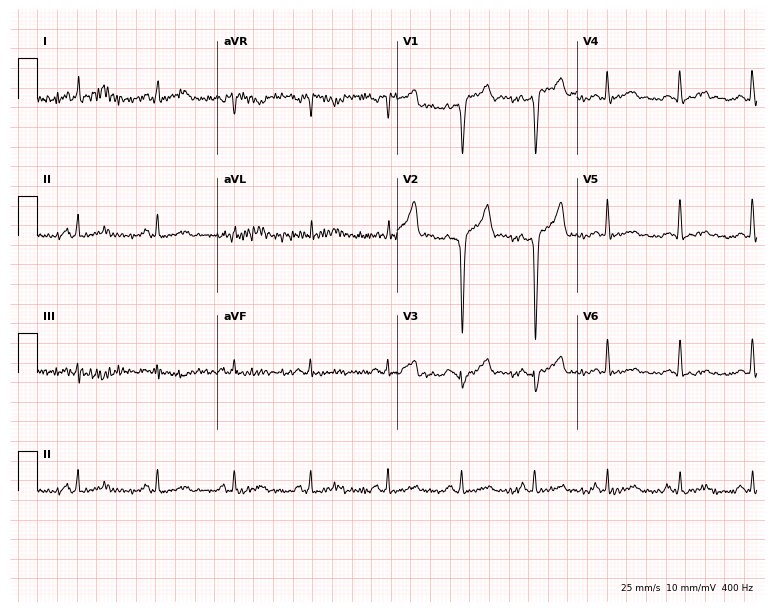
ECG (7.3-second recording at 400 Hz) — a male, 35 years old. Screened for six findings — first-degree AV block, right bundle branch block, left bundle branch block, sinus bradycardia, atrial fibrillation, sinus tachycardia — none is recorded. Other findings, if any, are not listed.